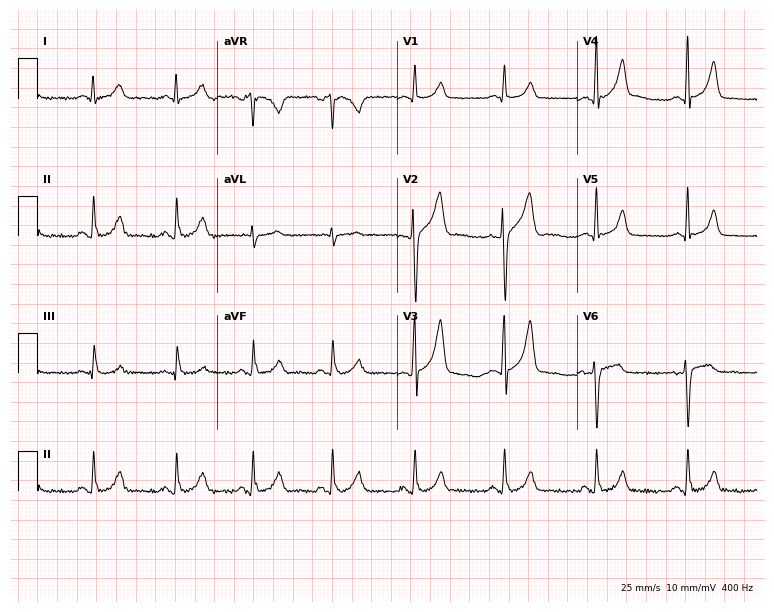
12-lead ECG from a man, 35 years old. Recorded interpretation: within normal limits.